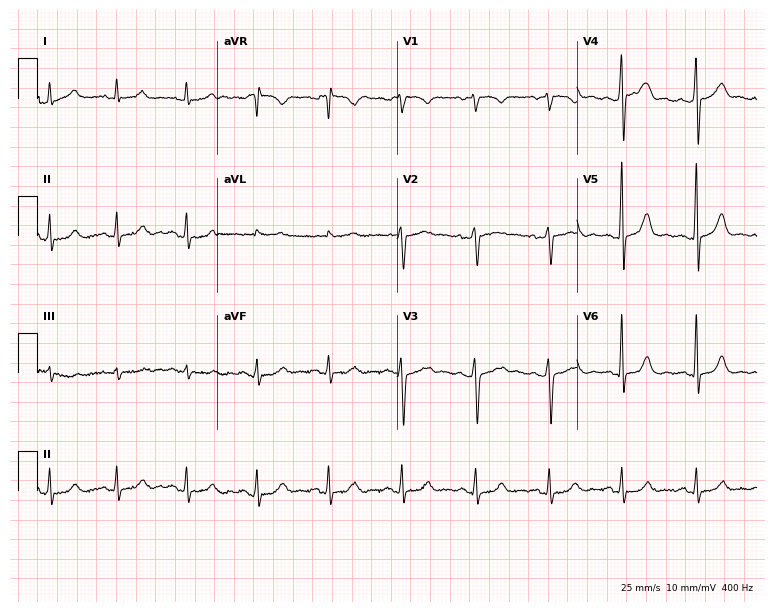
Resting 12-lead electrocardiogram (7.3-second recording at 400 Hz). Patient: a man, 50 years old. Read as a normal ECG.